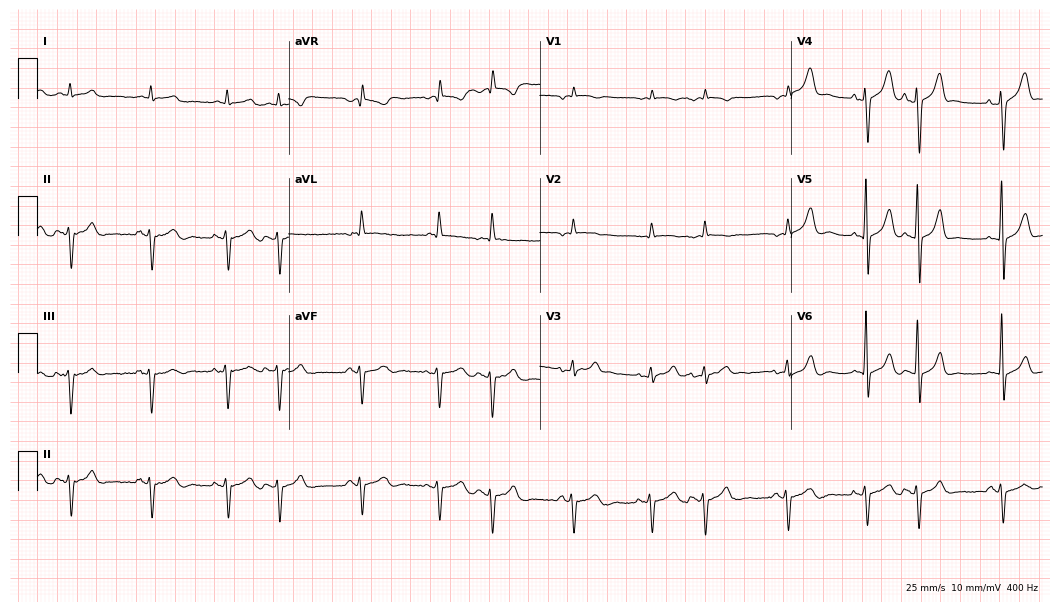
12-lead ECG from a male, 65 years old. Screened for six findings — first-degree AV block, right bundle branch block, left bundle branch block, sinus bradycardia, atrial fibrillation, sinus tachycardia — none is recorded.